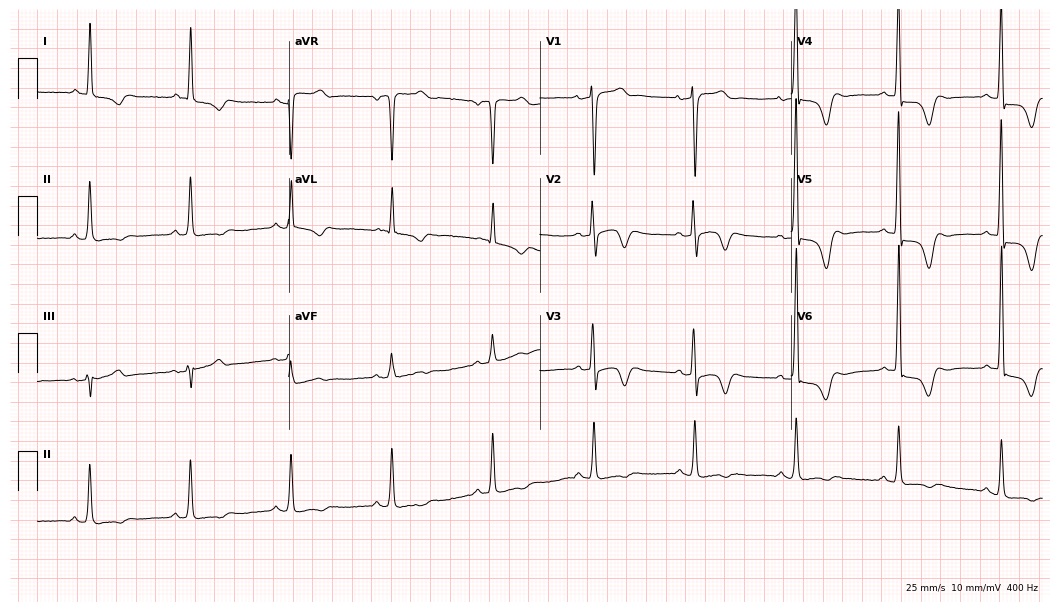
Standard 12-lead ECG recorded from a man, 83 years old. None of these six findings is recorded: first-degree AV block, right bundle branch block, left bundle branch block, sinus bradycardia, atrial fibrillation, sinus tachycardia. Only these six findings were labelled.